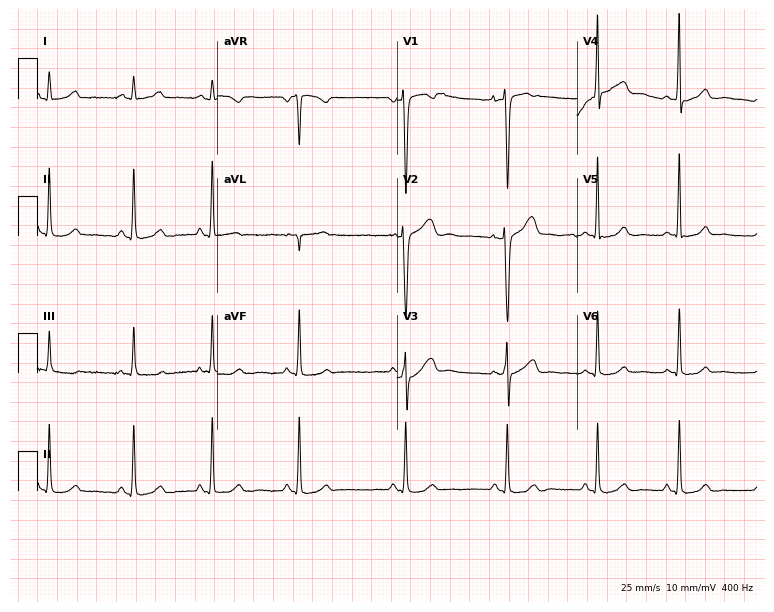
Resting 12-lead electrocardiogram. Patient: a 27-year-old female. None of these six findings is recorded: first-degree AV block, right bundle branch block, left bundle branch block, sinus bradycardia, atrial fibrillation, sinus tachycardia.